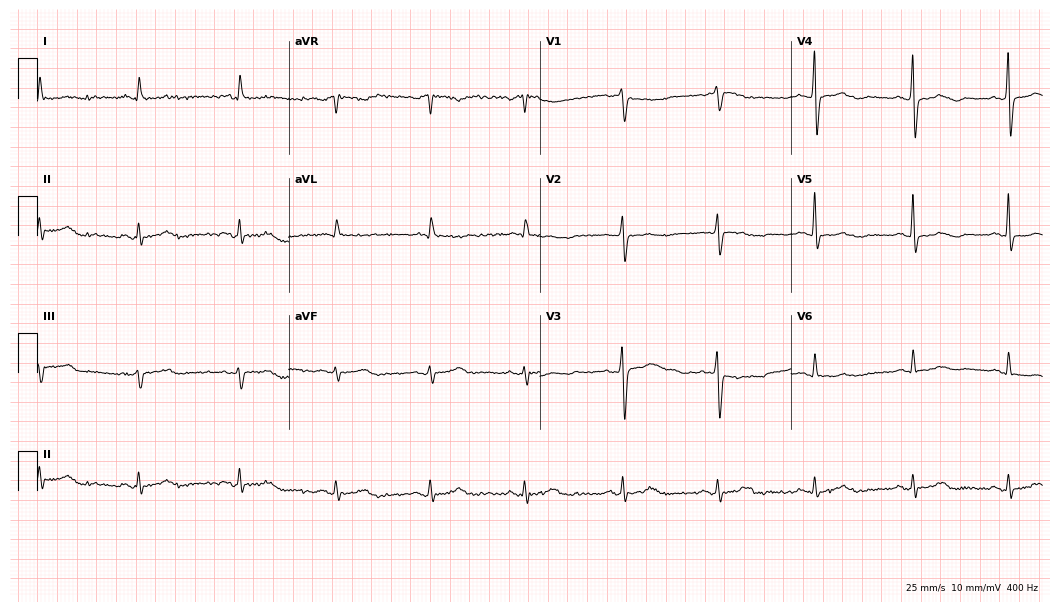
12-lead ECG from an 85-year-old woman. No first-degree AV block, right bundle branch block, left bundle branch block, sinus bradycardia, atrial fibrillation or sinus tachycardia recorded for this tracing. Findings outside these six are not listed.